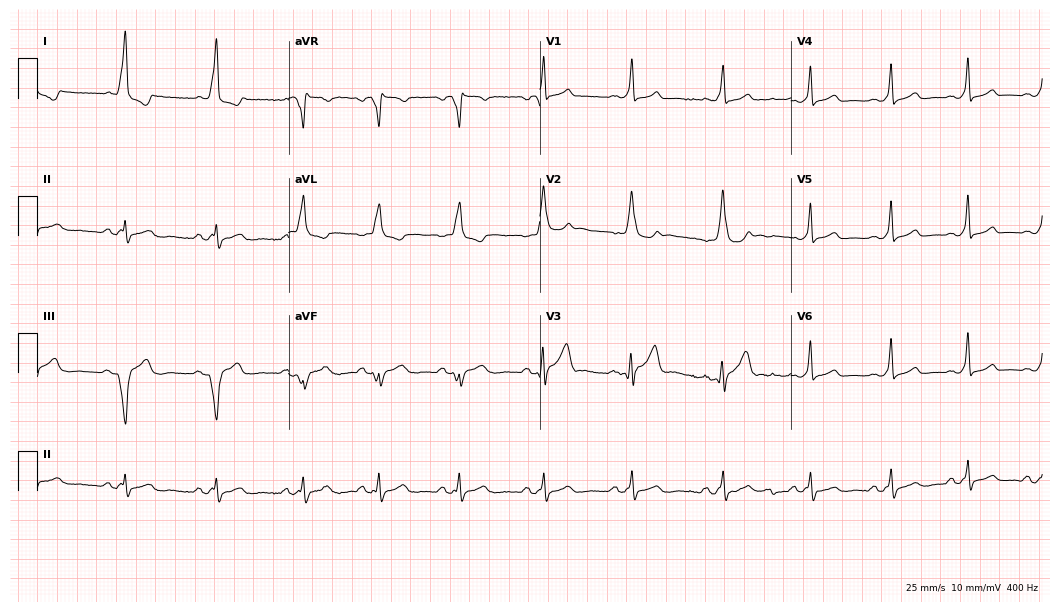
Electrocardiogram (10.2-second recording at 400 Hz), a man, 39 years old. Of the six screened findings (first-degree AV block, right bundle branch block, left bundle branch block, sinus bradycardia, atrial fibrillation, sinus tachycardia), none is recorded. Other findings, if any, are not listed.